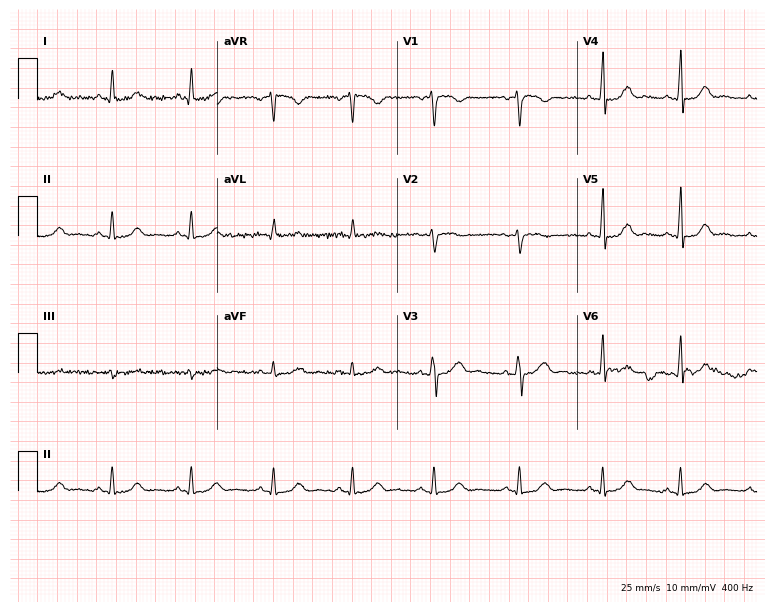
ECG (7.3-second recording at 400 Hz) — a female patient, 32 years old. Labelled as a normal ECG.